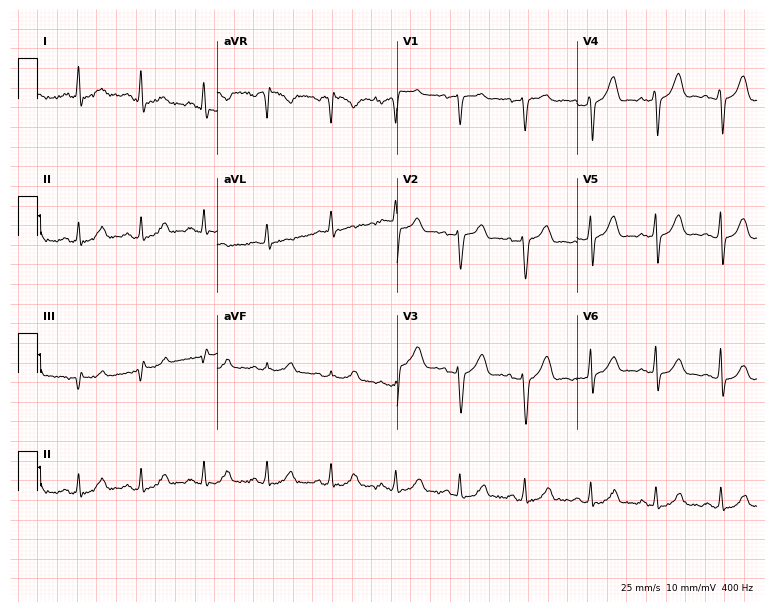
Electrocardiogram (7.3-second recording at 400 Hz), a female patient, 52 years old. Overall reading on record: normal ECG.